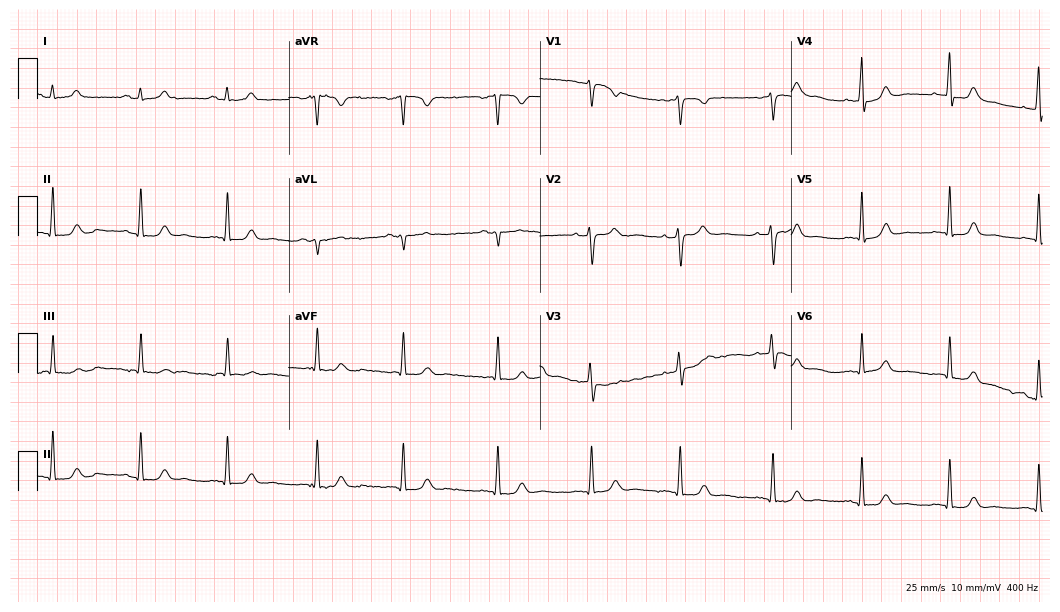
12-lead ECG from a woman, 28 years old. Labelled as a normal ECG.